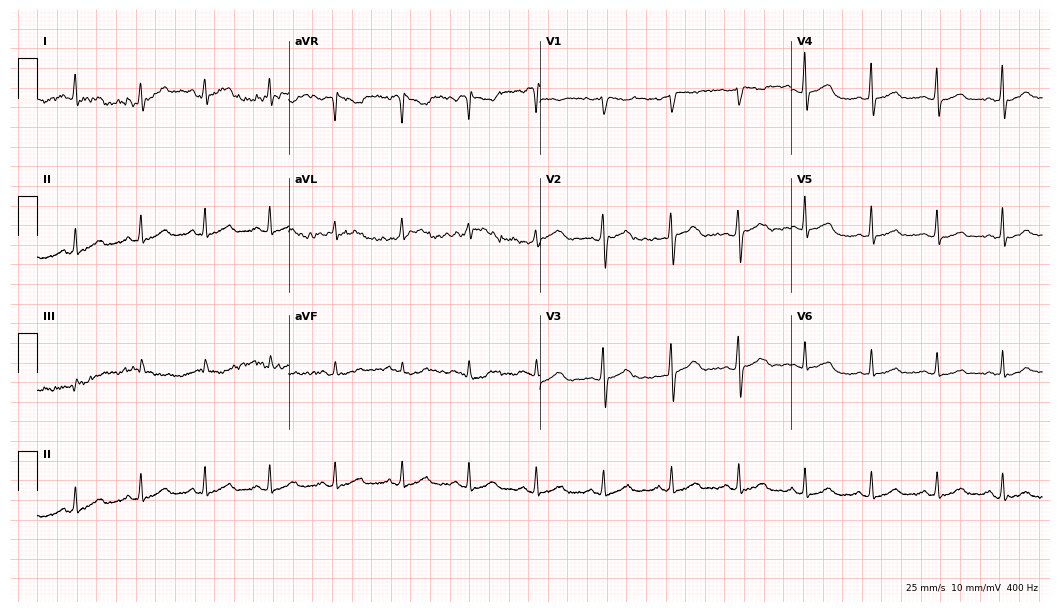
ECG — a female patient, 52 years old. Labelled as a normal ECG.